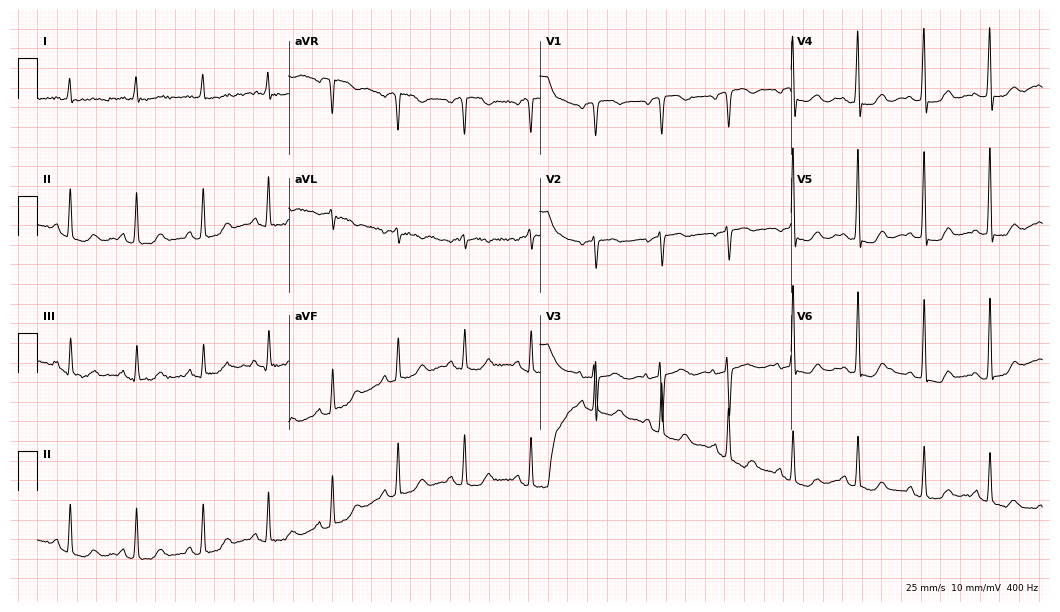
Resting 12-lead electrocardiogram (10.2-second recording at 400 Hz). Patient: a female, 75 years old. None of these six findings is recorded: first-degree AV block, right bundle branch block, left bundle branch block, sinus bradycardia, atrial fibrillation, sinus tachycardia.